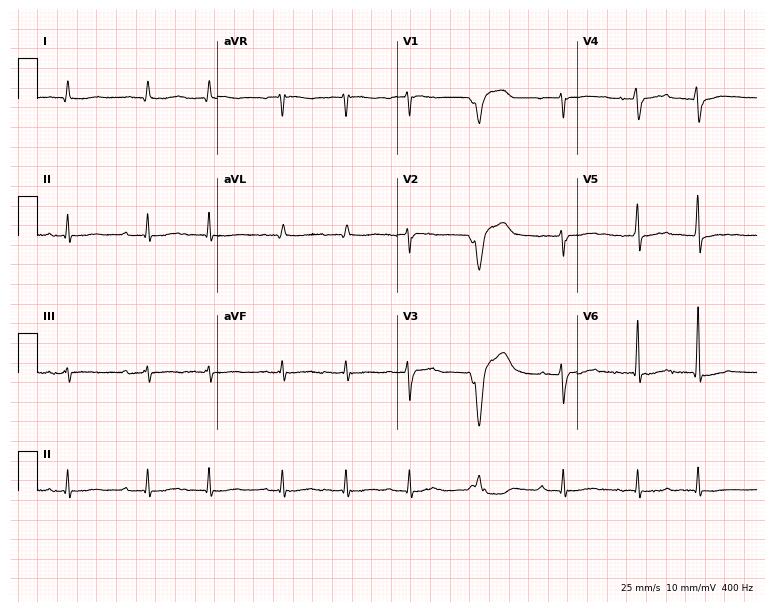
ECG (7.3-second recording at 400 Hz) — a man, 76 years old. Screened for six findings — first-degree AV block, right bundle branch block, left bundle branch block, sinus bradycardia, atrial fibrillation, sinus tachycardia — none is recorded.